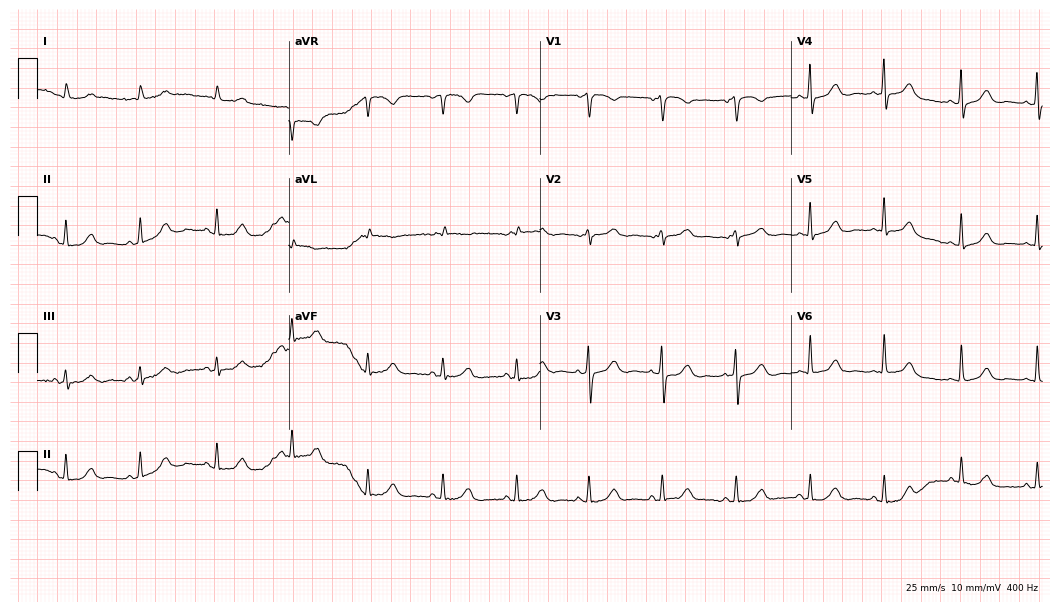
Electrocardiogram, an 80-year-old female. Overall reading on record: normal ECG.